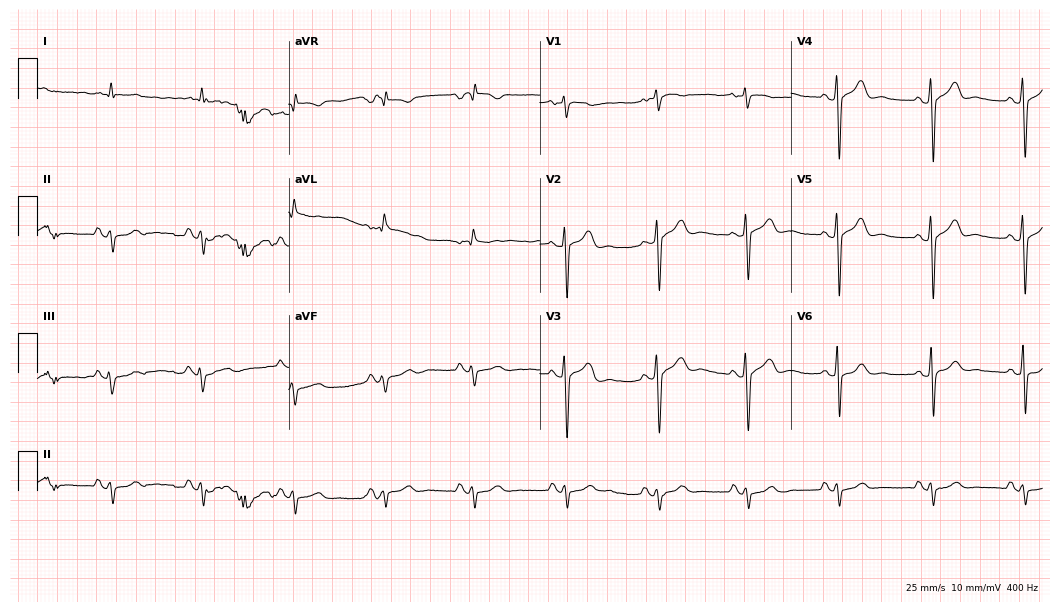
12-lead ECG from a 51-year-old male patient (10.2-second recording at 400 Hz). No first-degree AV block, right bundle branch block, left bundle branch block, sinus bradycardia, atrial fibrillation or sinus tachycardia recorded for this tracing. Only these six findings were labelled.